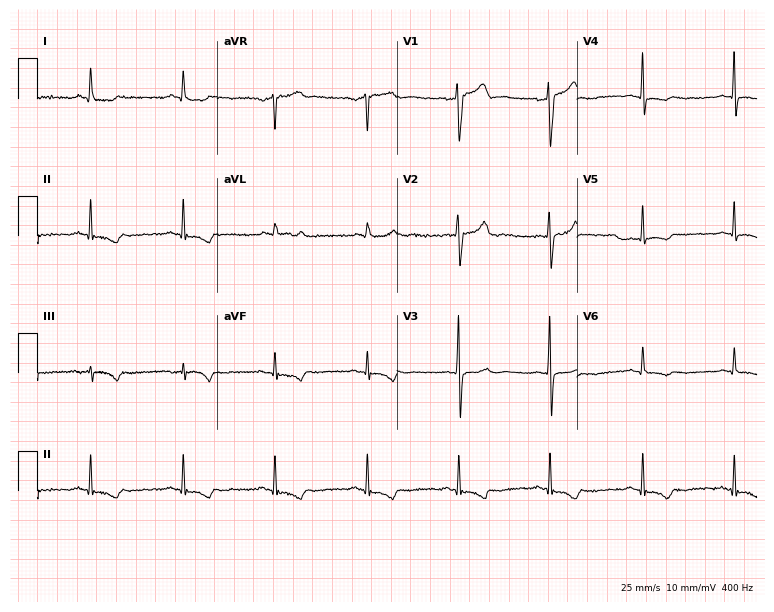
Standard 12-lead ECG recorded from a male, 55 years old (7.3-second recording at 400 Hz). None of these six findings is recorded: first-degree AV block, right bundle branch block, left bundle branch block, sinus bradycardia, atrial fibrillation, sinus tachycardia.